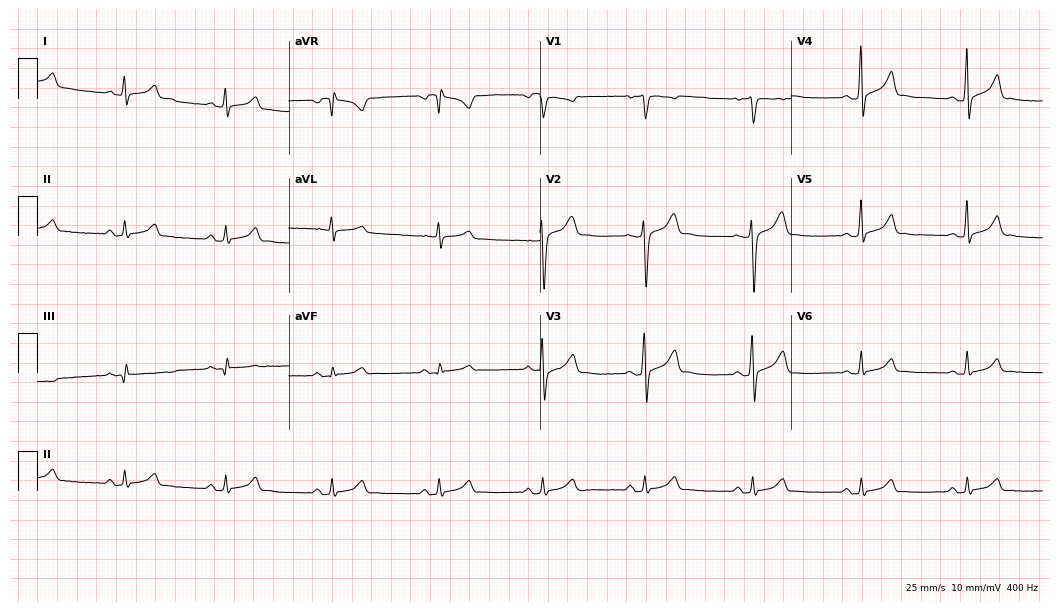
Electrocardiogram, a 37-year-old male. Overall reading on record: normal ECG.